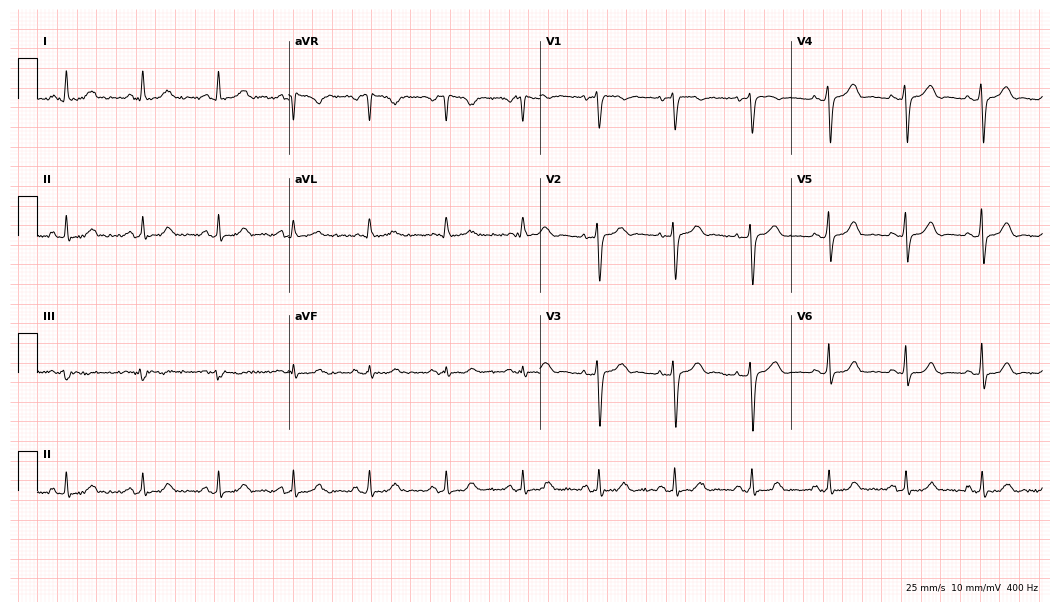
Electrocardiogram, a 57-year-old female. Of the six screened findings (first-degree AV block, right bundle branch block, left bundle branch block, sinus bradycardia, atrial fibrillation, sinus tachycardia), none is recorded.